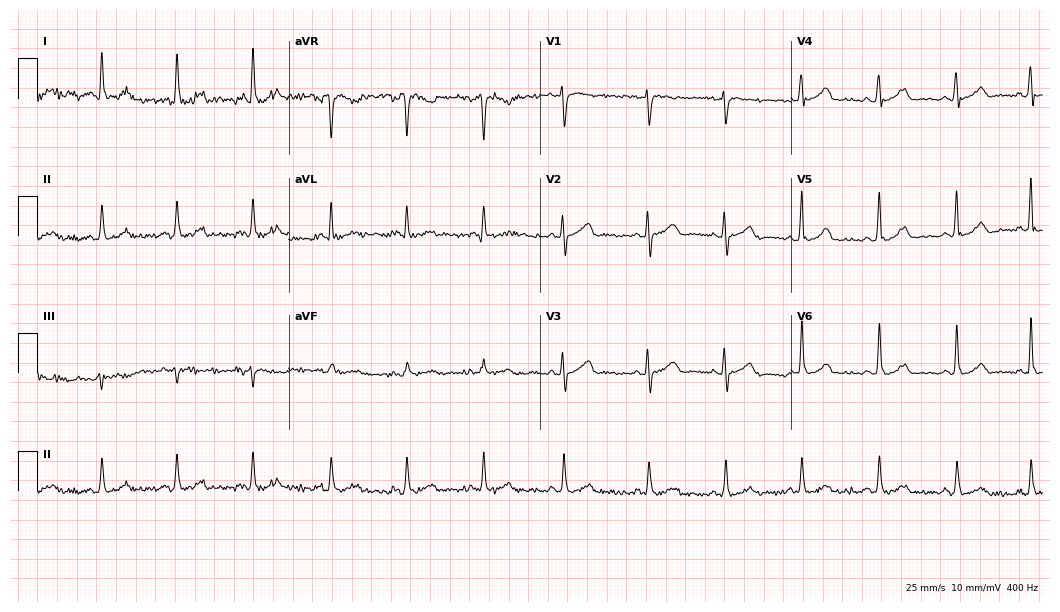
Resting 12-lead electrocardiogram (10.2-second recording at 400 Hz). Patient: a female, 45 years old. Read as a normal ECG.